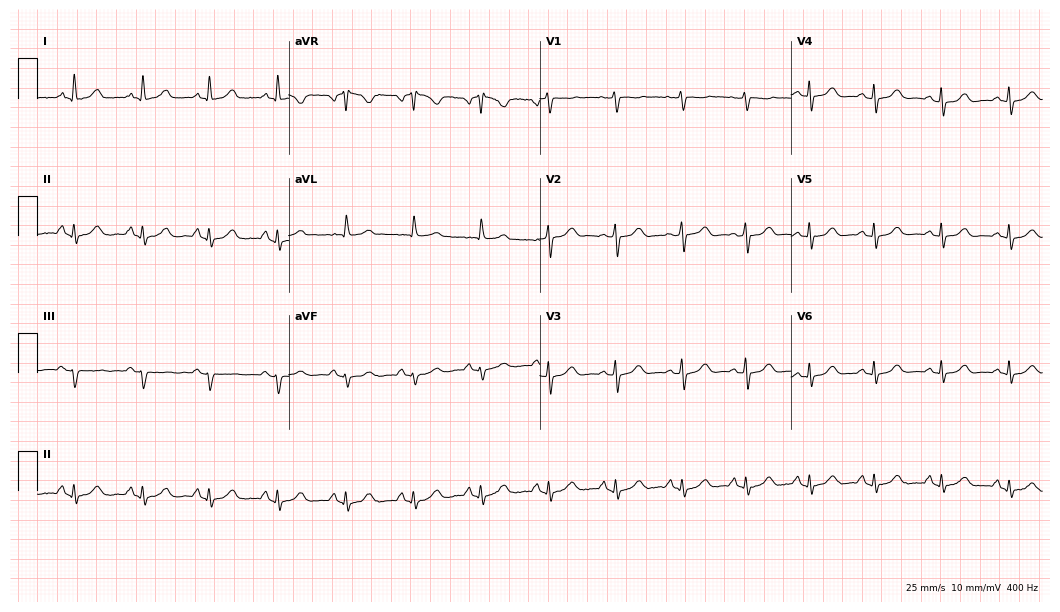
Electrocardiogram (10.2-second recording at 400 Hz), a woman, 59 years old. Overall reading on record: normal ECG.